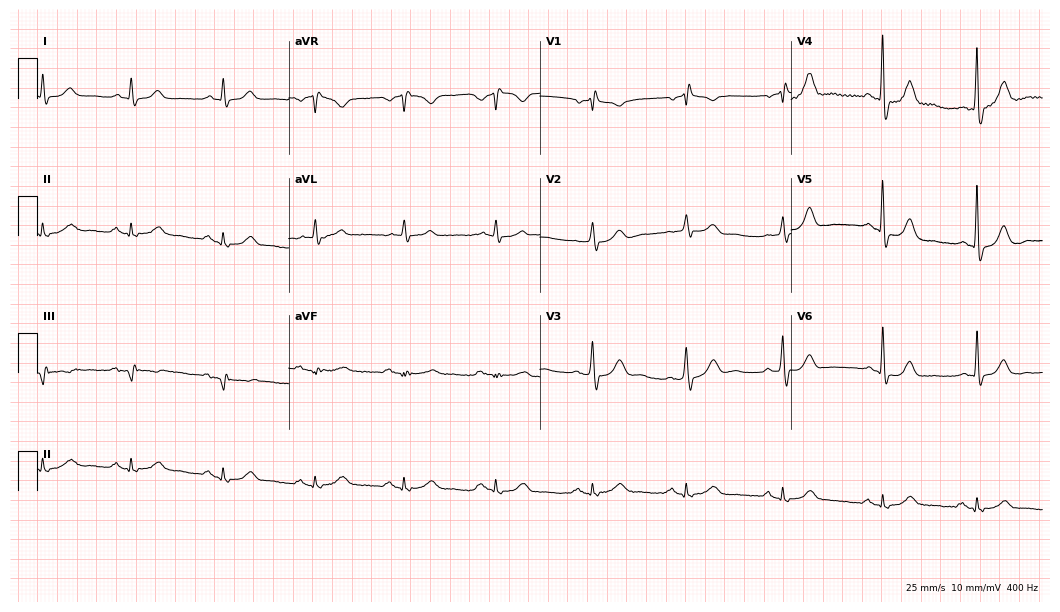
12-lead ECG (10.2-second recording at 400 Hz) from a 72-year-old male. Screened for six findings — first-degree AV block, right bundle branch block (RBBB), left bundle branch block (LBBB), sinus bradycardia, atrial fibrillation (AF), sinus tachycardia — none is recorded.